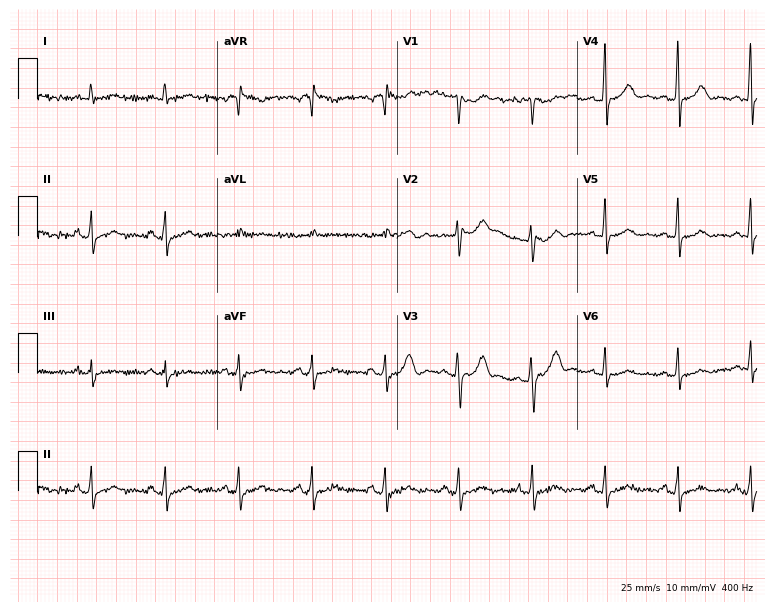
Resting 12-lead electrocardiogram (7.3-second recording at 400 Hz). Patient: a female, 52 years old. None of these six findings is recorded: first-degree AV block, right bundle branch block, left bundle branch block, sinus bradycardia, atrial fibrillation, sinus tachycardia. Findings outside these six are not listed.